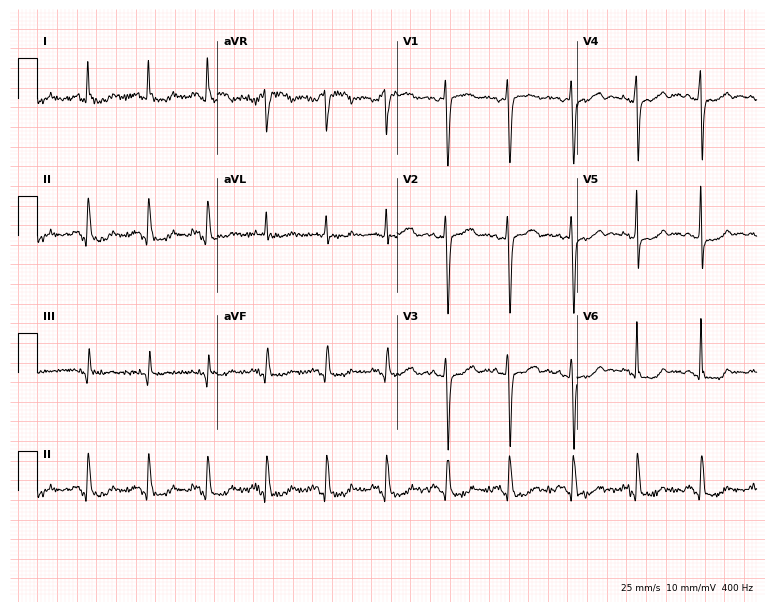
Electrocardiogram (7.3-second recording at 400 Hz), a 60-year-old woman. Overall reading on record: normal ECG.